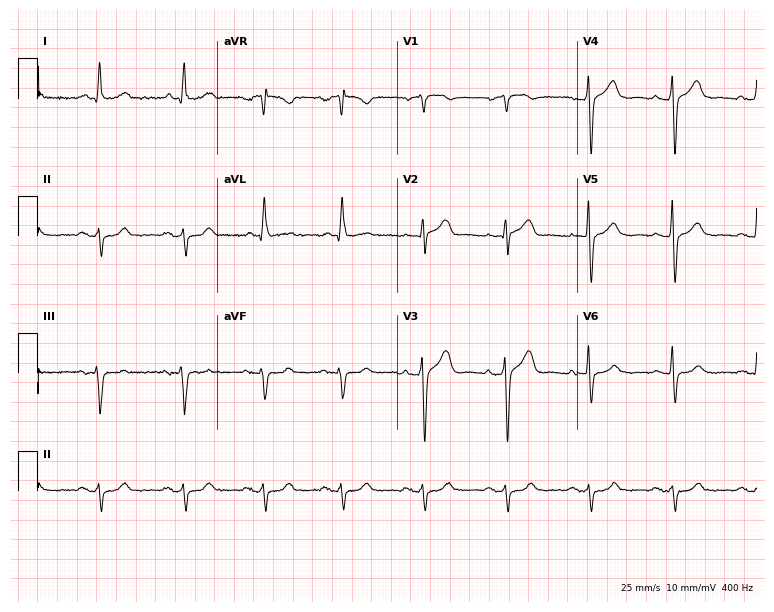
12-lead ECG from a 67-year-old male. No first-degree AV block, right bundle branch block, left bundle branch block, sinus bradycardia, atrial fibrillation or sinus tachycardia recorded for this tracing.